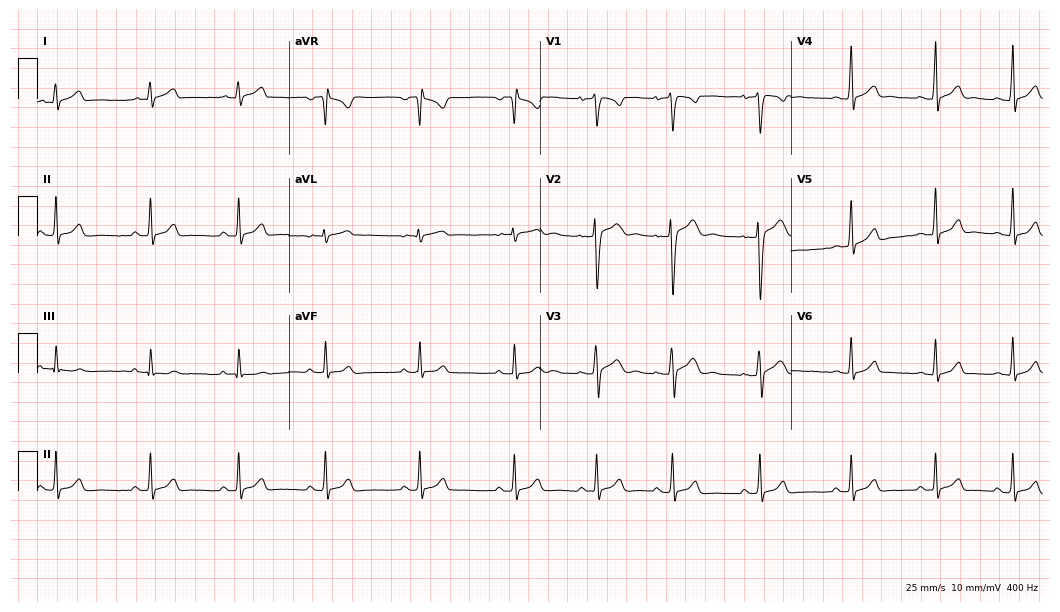
12-lead ECG from a 21-year-old man (10.2-second recording at 400 Hz). Recorded interpretation: within normal limits.